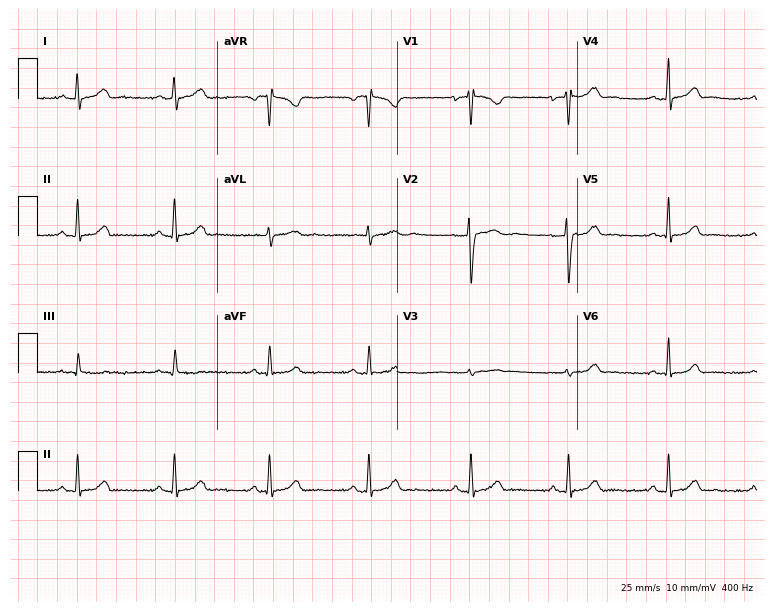
12-lead ECG from a 21-year-old female patient (7.3-second recording at 400 Hz). Recorded interpretation: within normal limits.